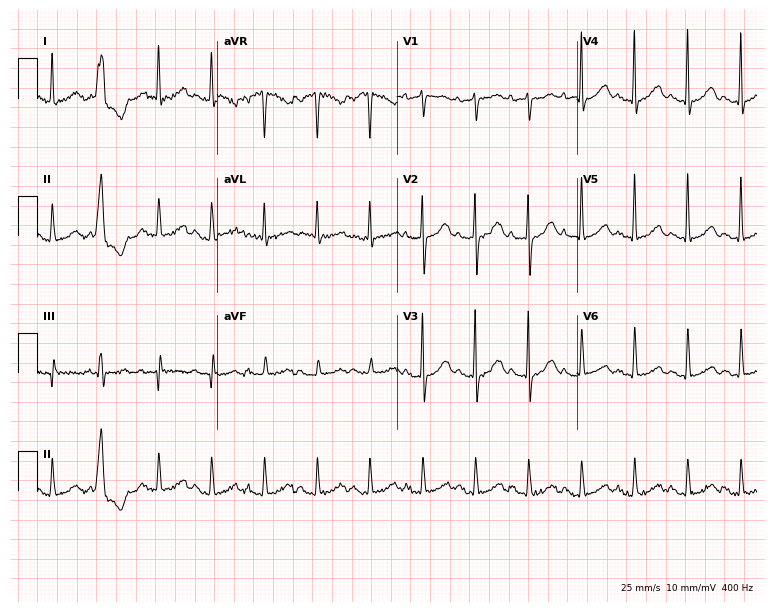
Resting 12-lead electrocardiogram (7.3-second recording at 400 Hz). Patient: a female, 74 years old. The tracing shows sinus tachycardia (a sinus rate of 100 beats per minute or more).